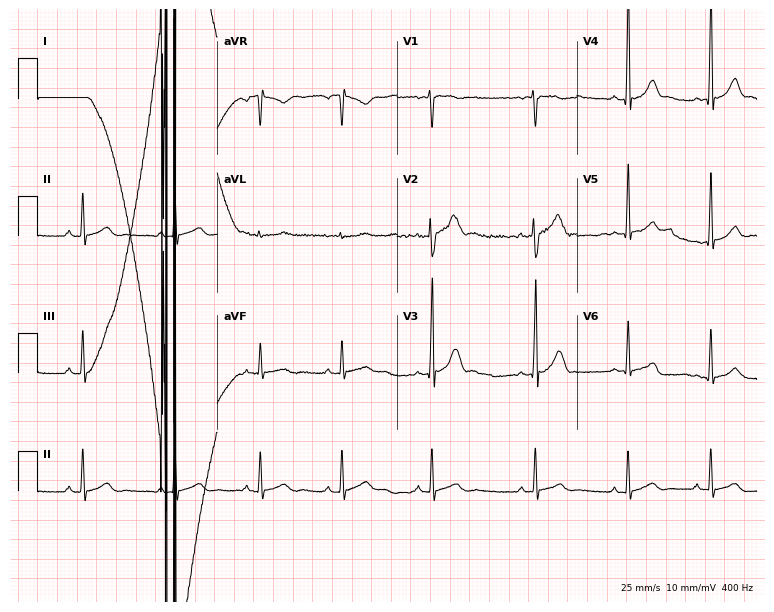
12-lead ECG (7.3-second recording at 400 Hz) from a male, 20 years old. Labelled as a normal ECG.